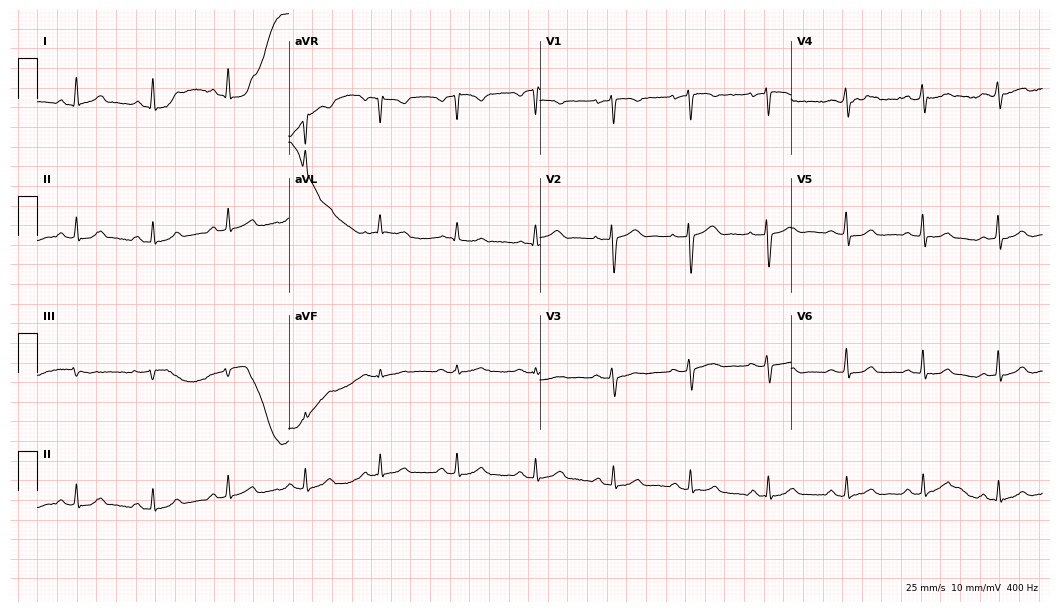
12-lead ECG from a 50-year-old female. Recorded interpretation: within normal limits.